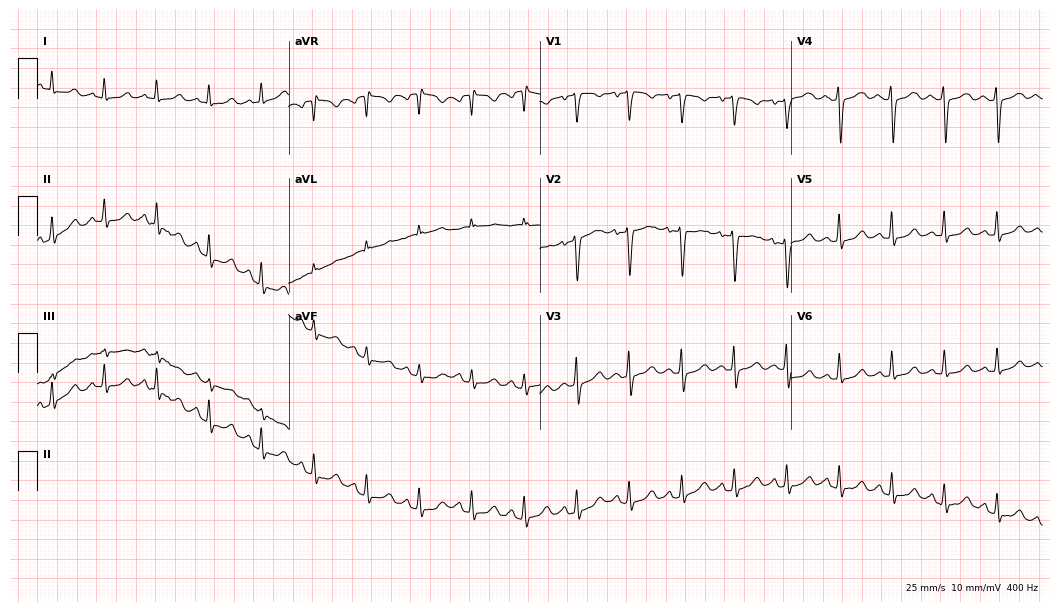
ECG — a 56-year-old female patient. Screened for six findings — first-degree AV block, right bundle branch block, left bundle branch block, sinus bradycardia, atrial fibrillation, sinus tachycardia — none is recorded. Findings outside these six are not listed.